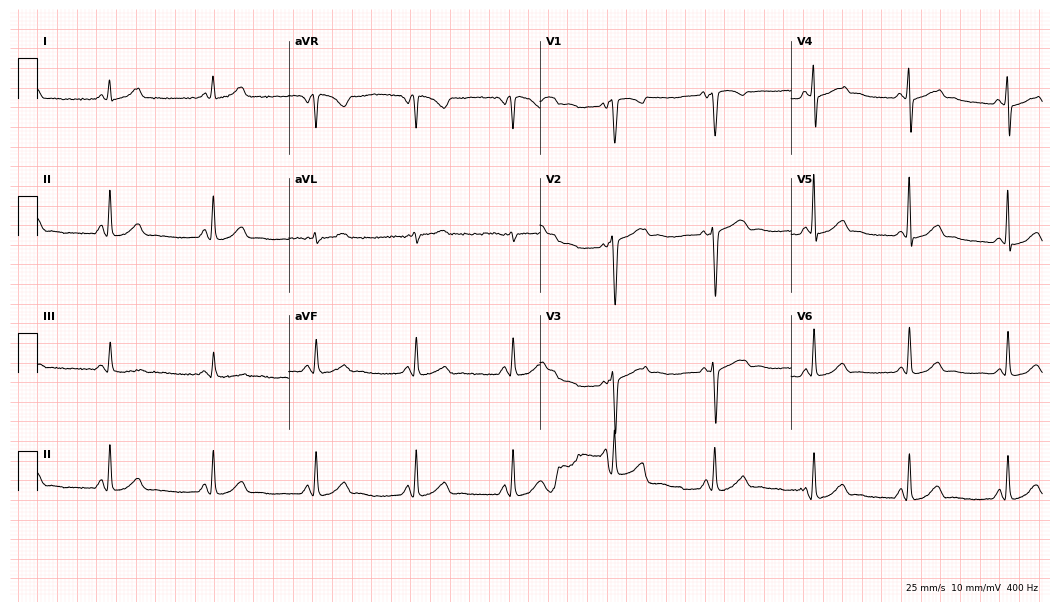
Electrocardiogram, a 44-year-old female patient. Of the six screened findings (first-degree AV block, right bundle branch block (RBBB), left bundle branch block (LBBB), sinus bradycardia, atrial fibrillation (AF), sinus tachycardia), none is recorded.